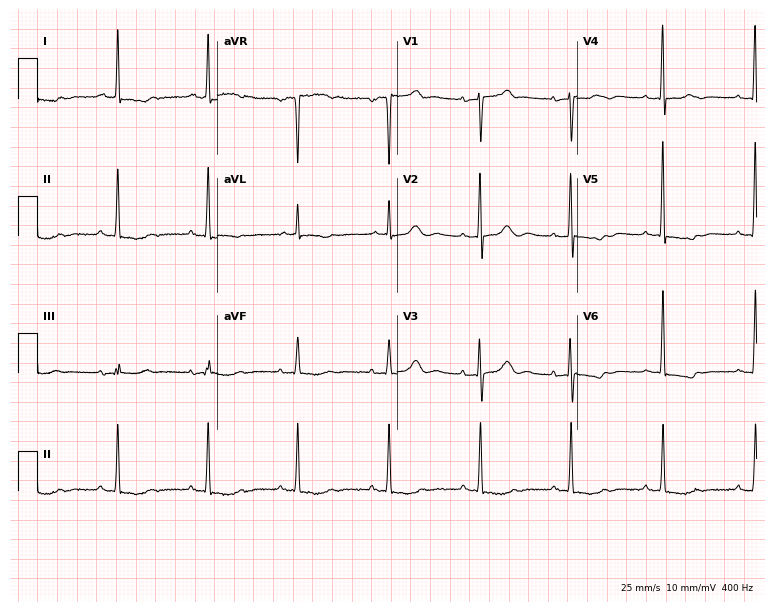
Standard 12-lead ECG recorded from a woman, 80 years old. None of these six findings is recorded: first-degree AV block, right bundle branch block, left bundle branch block, sinus bradycardia, atrial fibrillation, sinus tachycardia. Findings outside these six are not listed.